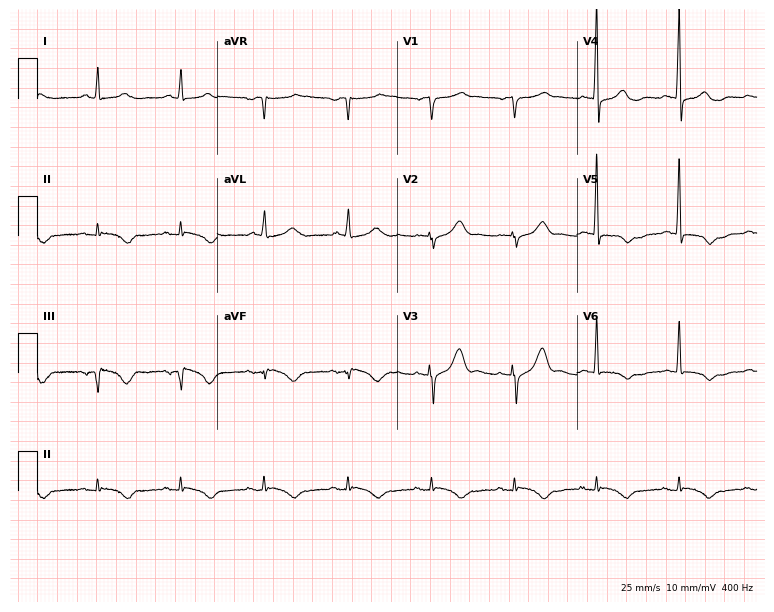
Electrocardiogram, a male patient, 63 years old. Overall reading on record: normal ECG.